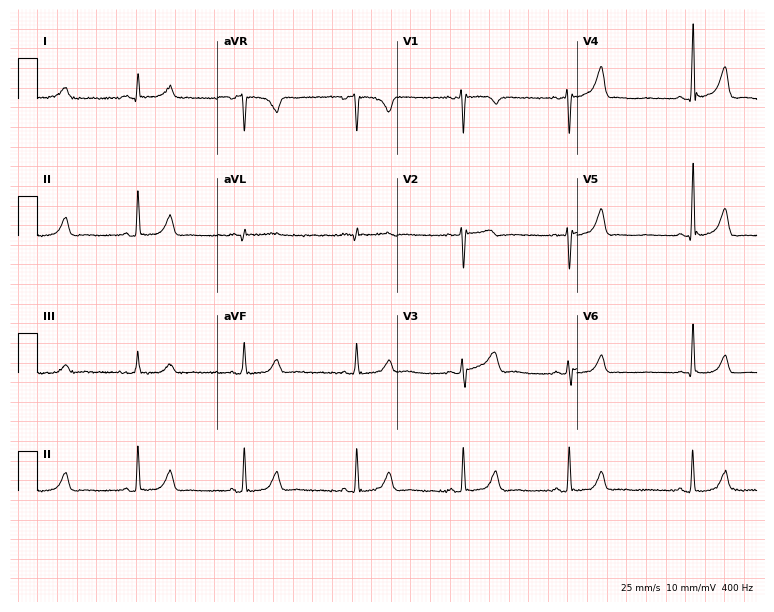
Electrocardiogram, a 33-year-old man. Overall reading on record: normal ECG.